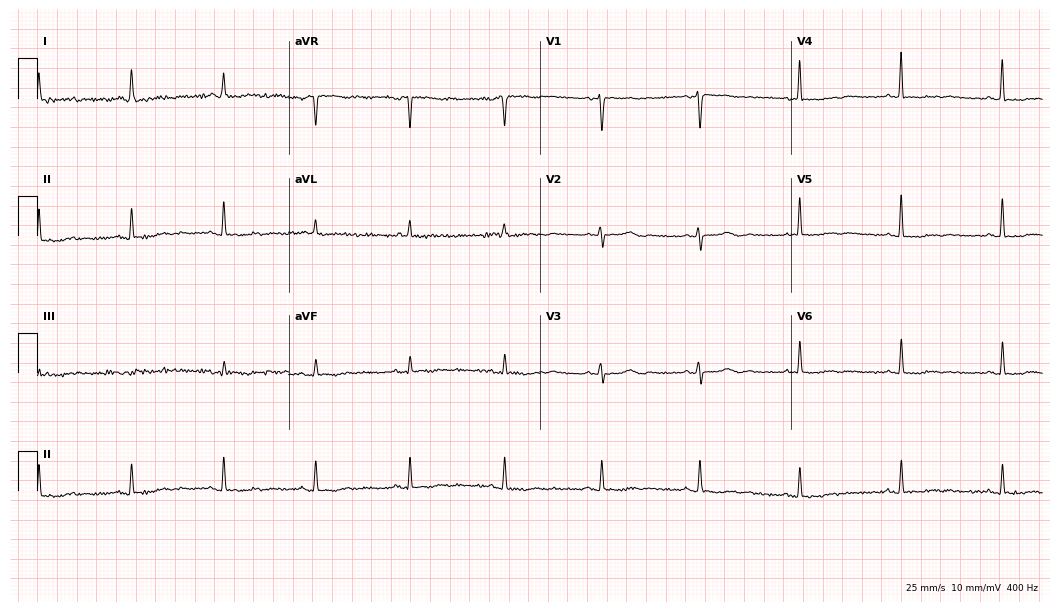
Electrocardiogram, a woman, 79 years old. Of the six screened findings (first-degree AV block, right bundle branch block (RBBB), left bundle branch block (LBBB), sinus bradycardia, atrial fibrillation (AF), sinus tachycardia), none is recorded.